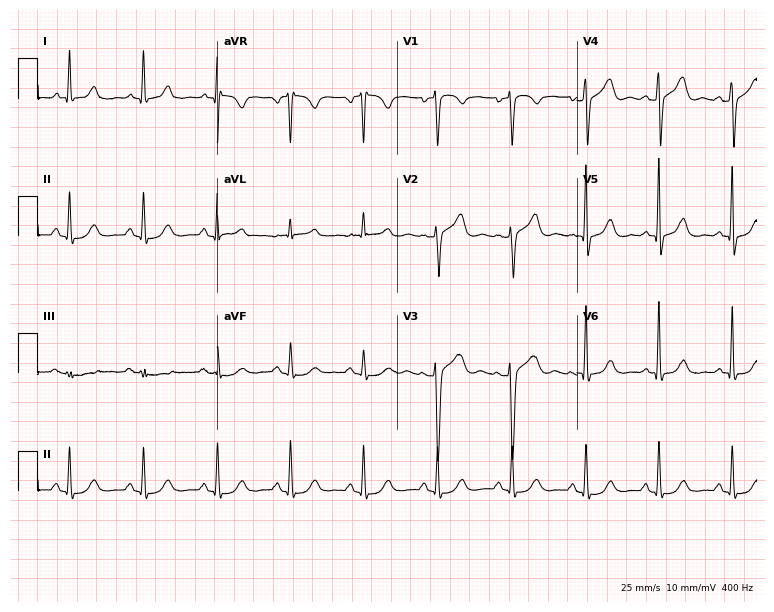
12-lead ECG from a 54-year-old female (7.3-second recording at 400 Hz). Recorded interpretation: within normal limits.